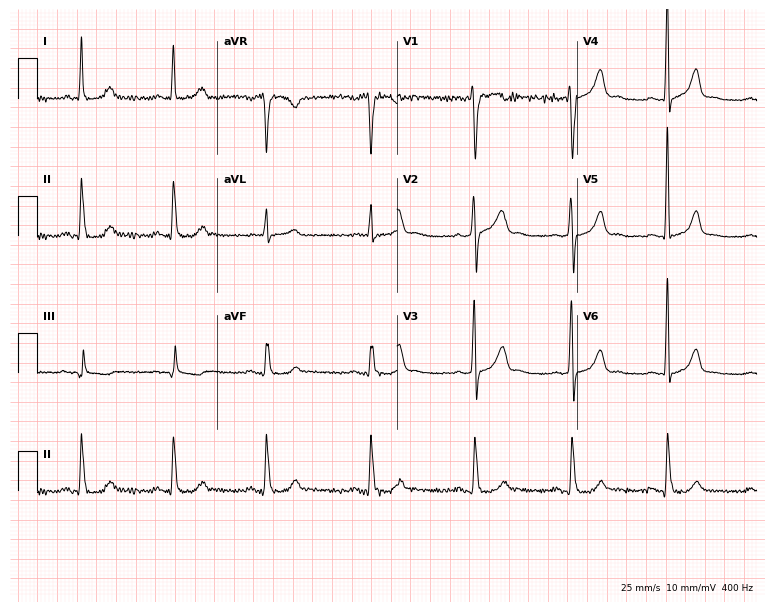
Standard 12-lead ECG recorded from a male patient, 48 years old. None of these six findings is recorded: first-degree AV block, right bundle branch block, left bundle branch block, sinus bradycardia, atrial fibrillation, sinus tachycardia.